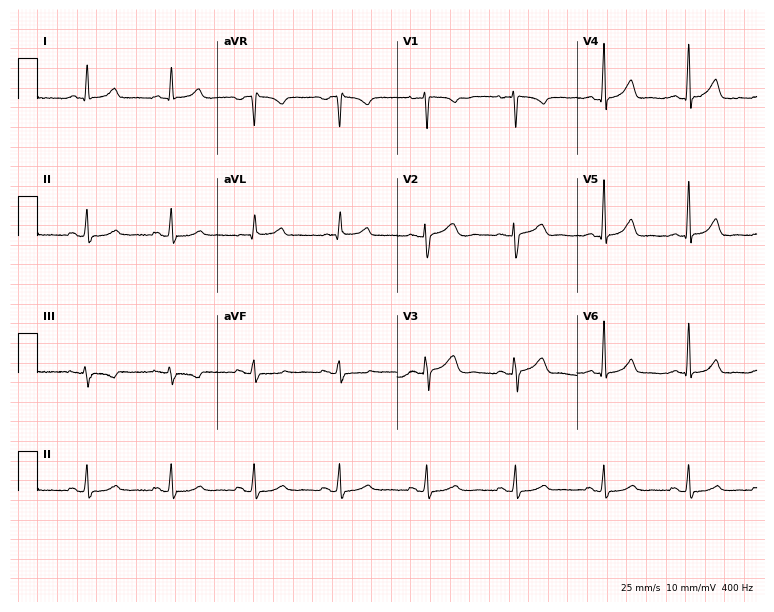
ECG (7.3-second recording at 400 Hz) — a 47-year-old female patient. Labelled as a normal ECG.